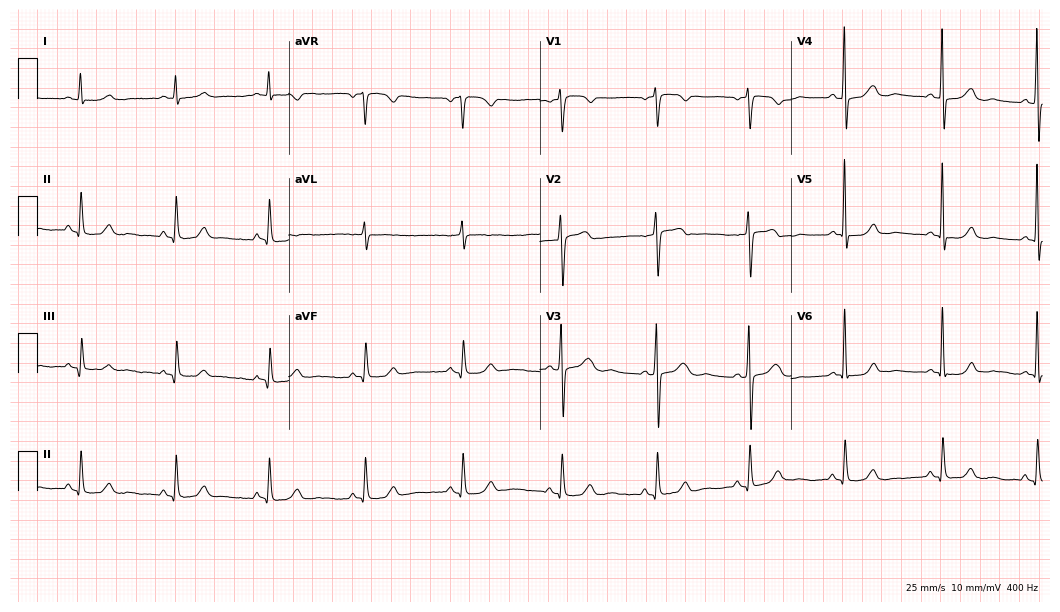
12-lead ECG (10.2-second recording at 400 Hz) from a 52-year-old woman. Labelled as a normal ECG.